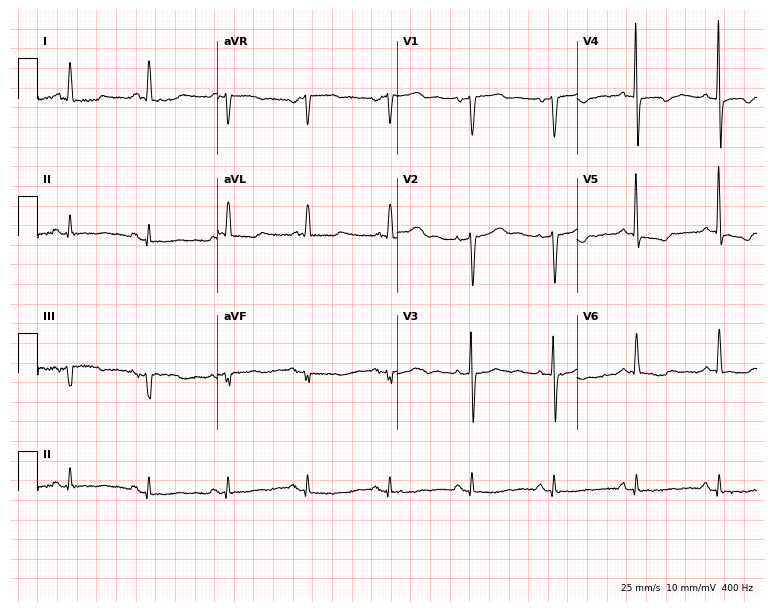
Standard 12-lead ECG recorded from an 80-year-old woman. None of these six findings is recorded: first-degree AV block, right bundle branch block, left bundle branch block, sinus bradycardia, atrial fibrillation, sinus tachycardia. Only these six findings were labelled.